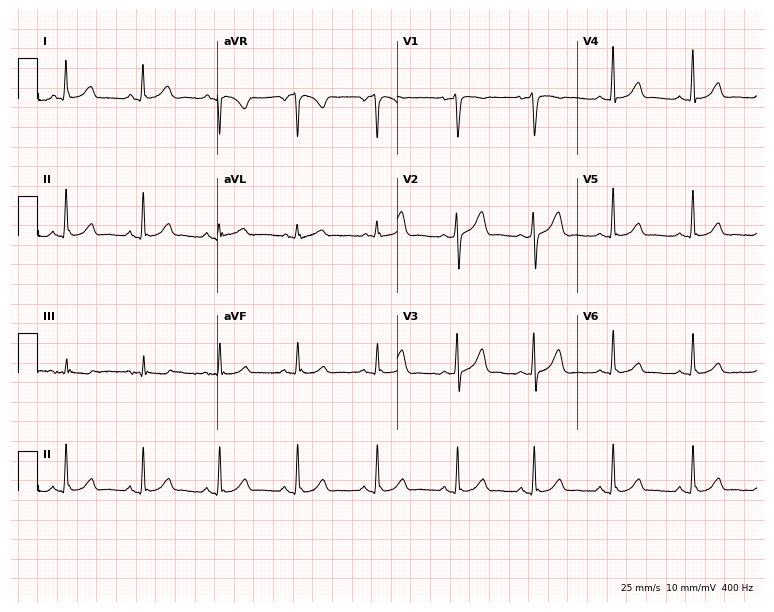
Electrocardiogram (7.3-second recording at 400 Hz), a woman, 53 years old. Of the six screened findings (first-degree AV block, right bundle branch block, left bundle branch block, sinus bradycardia, atrial fibrillation, sinus tachycardia), none is recorded.